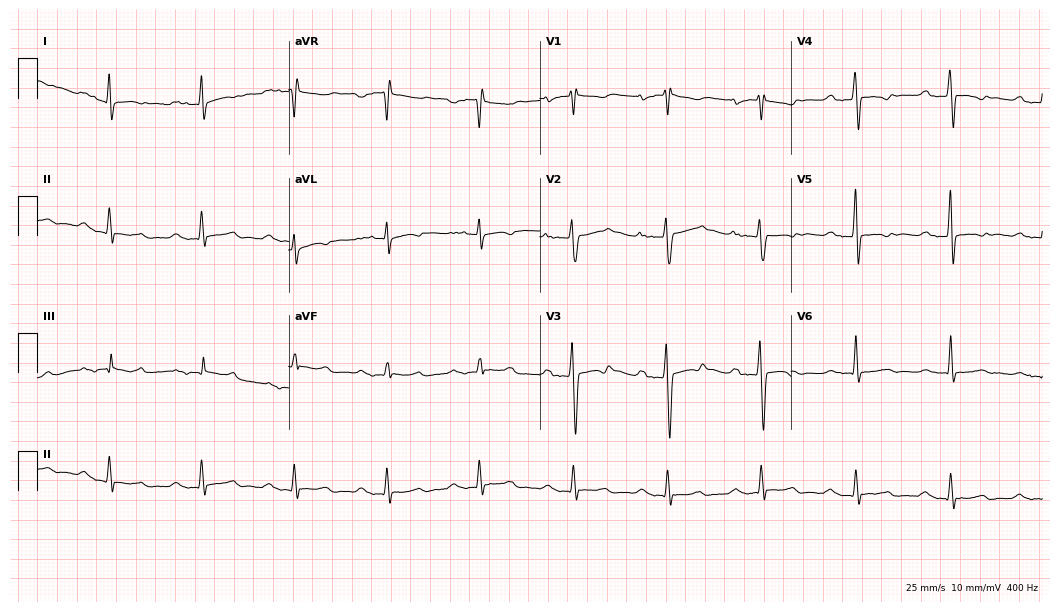
Standard 12-lead ECG recorded from a 48-year-old male (10.2-second recording at 400 Hz). The tracing shows first-degree AV block.